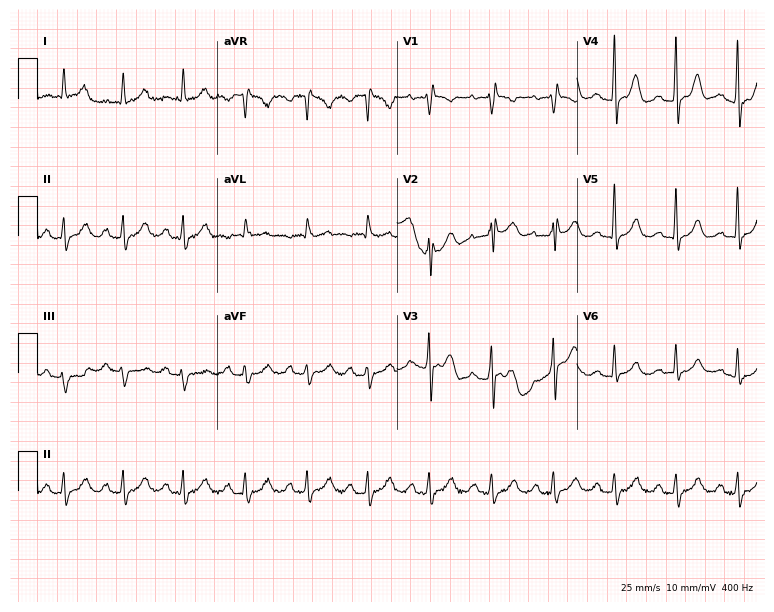
ECG (7.3-second recording at 400 Hz) — a 77-year-old woman. Screened for six findings — first-degree AV block, right bundle branch block, left bundle branch block, sinus bradycardia, atrial fibrillation, sinus tachycardia — none is recorded.